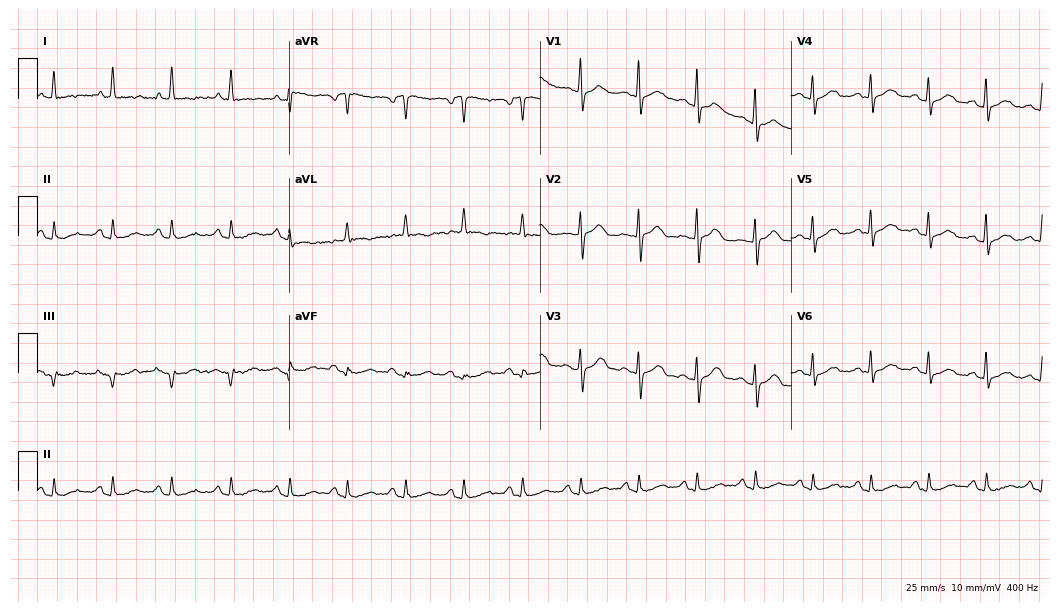
12-lead ECG from a 55-year-old female patient. Findings include sinus tachycardia (a sinus rate of 100 beats per minute or more).